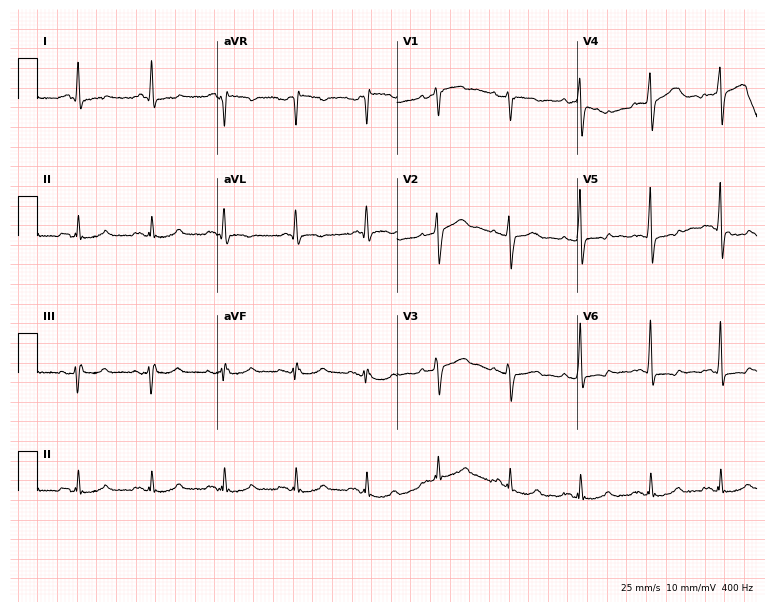
12-lead ECG (7.3-second recording at 400 Hz) from a 69-year-old man. Screened for six findings — first-degree AV block, right bundle branch block, left bundle branch block, sinus bradycardia, atrial fibrillation, sinus tachycardia — none is recorded. Other findings, if any, are not listed.